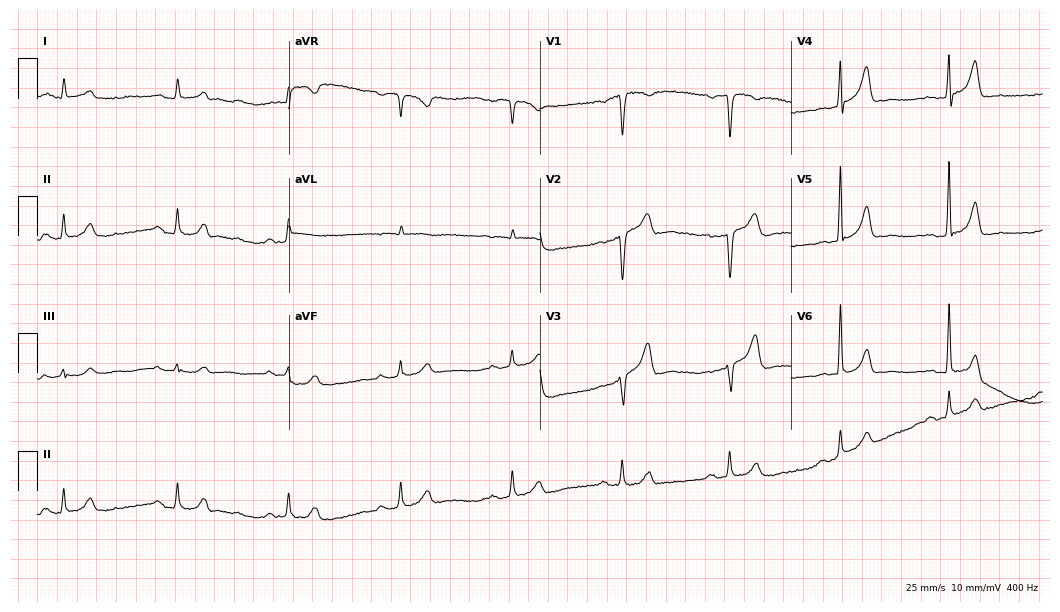
12-lead ECG from a man, 78 years old. Labelled as a normal ECG.